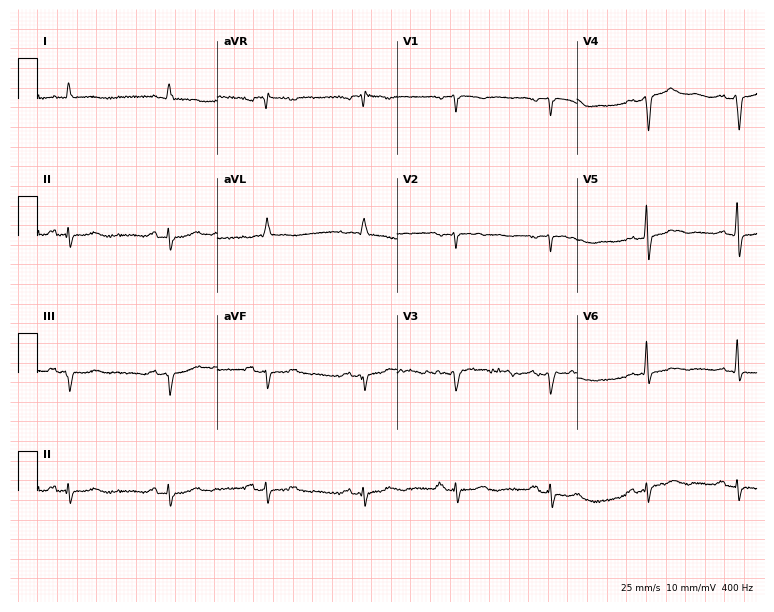
12-lead ECG (7.3-second recording at 400 Hz) from a female, 69 years old. Labelled as a normal ECG.